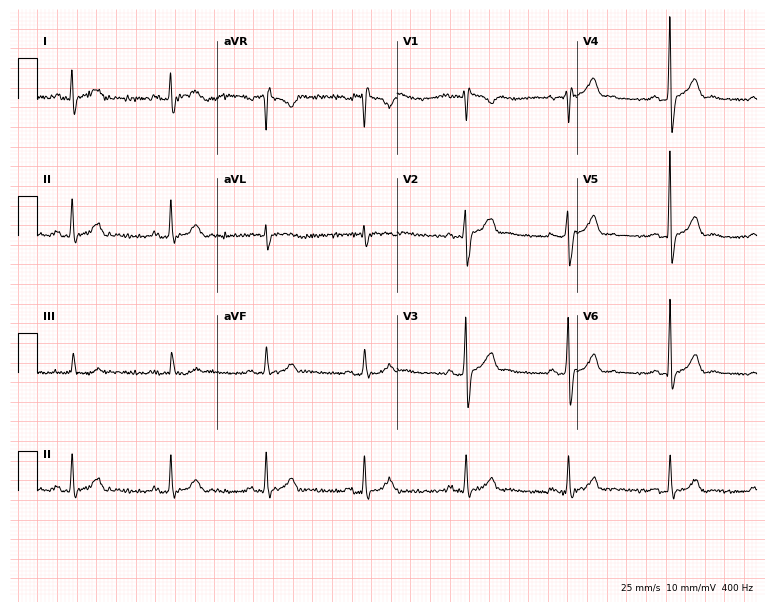
ECG — a 38-year-old man. Labelled as a normal ECG.